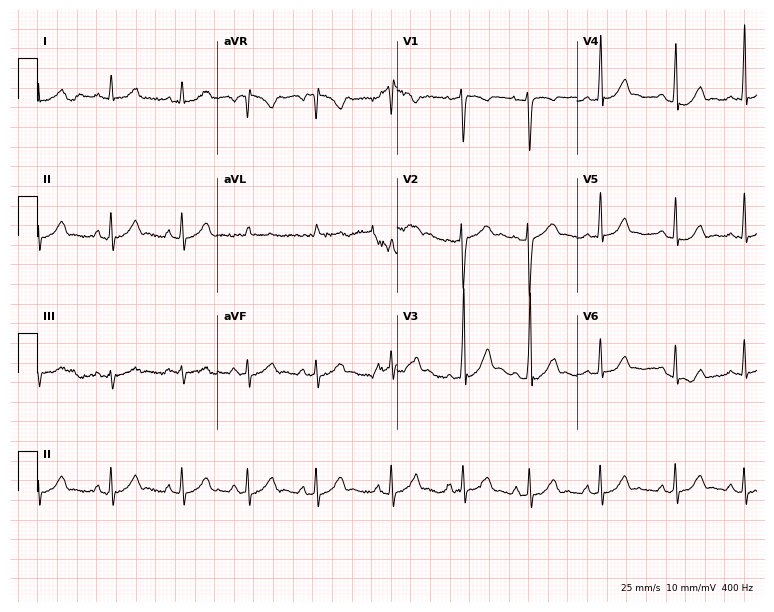
12-lead ECG from a 21-year-old woman. Labelled as a normal ECG.